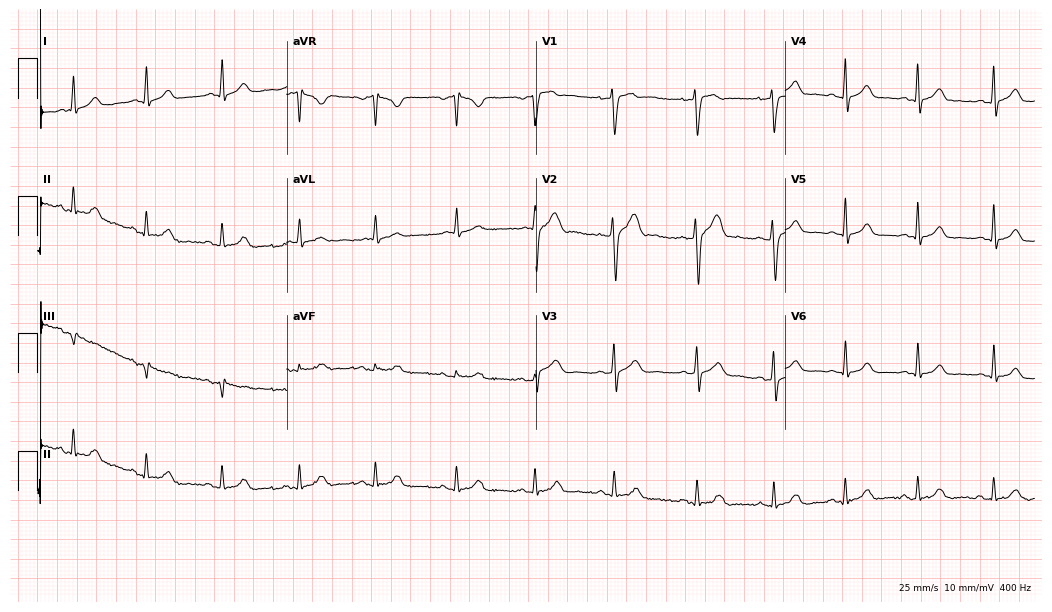
12-lead ECG from a 22-year-old male. Labelled as a normal ECG.